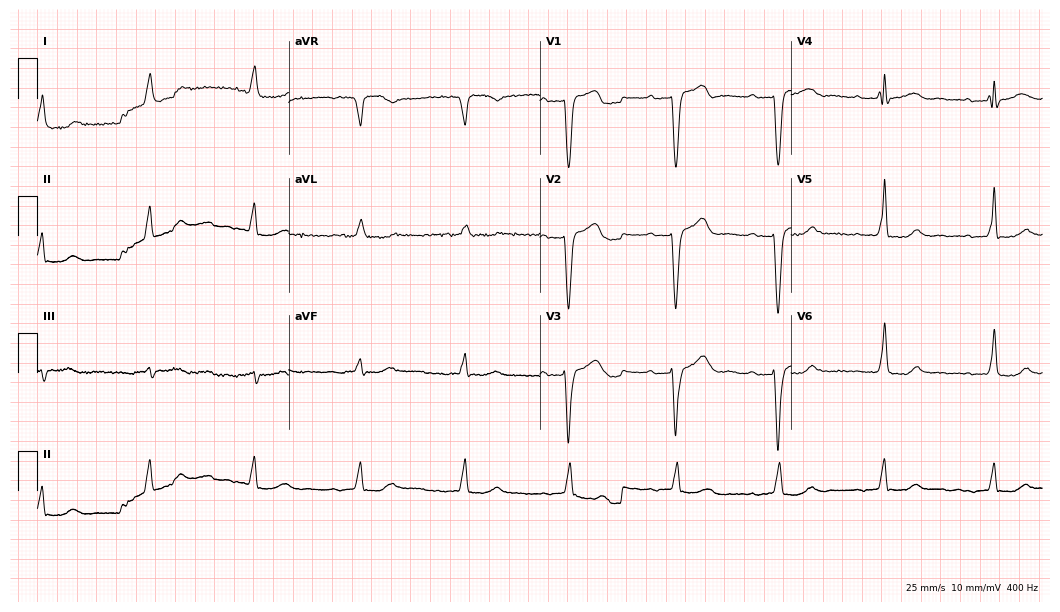
Standard 12-lead ECG recorded from an 83-year-old man (10.2-second recording at 400 Hz). The tracing shows first-degree AV block, left bundle branch block (LBBB).